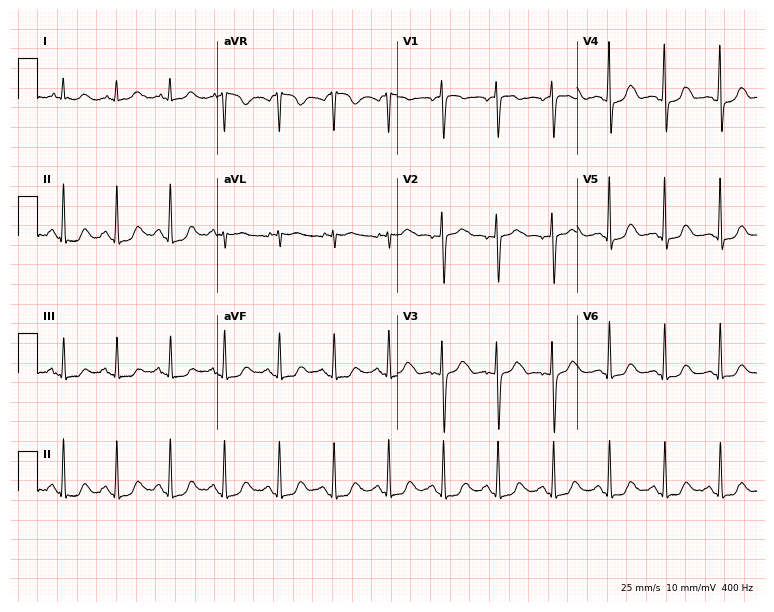
Electrocardiogram (7.3-second recording at 400 Hz), a woman, 48 years old. Interpretation includes sinus tachycardia (a sinus rate of 100 beats per minute or more).